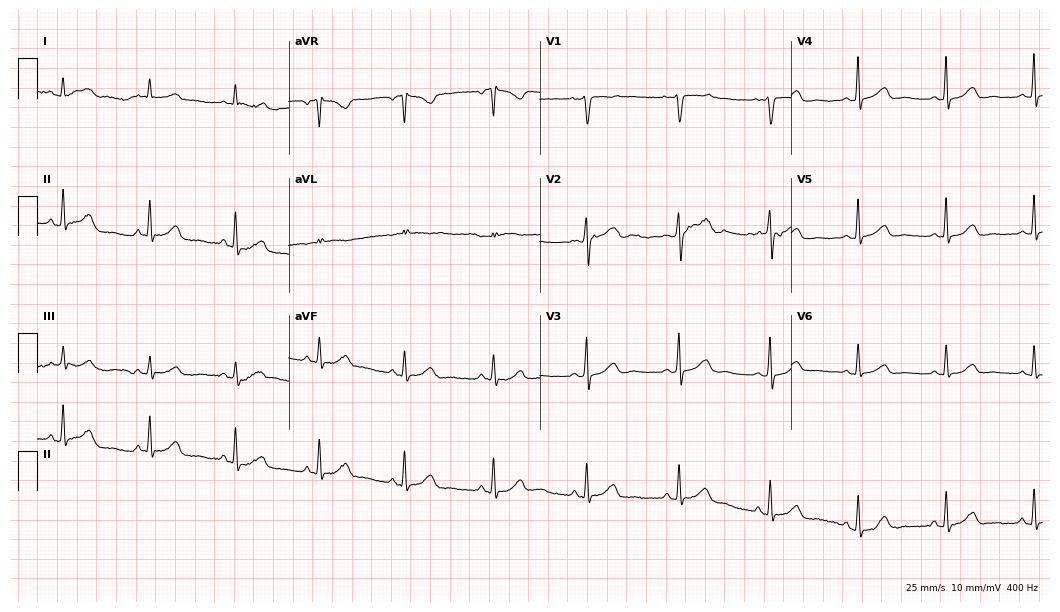
12-lead ECG from a 44-year-old woman (10.2-second recording at 400 Hz). Recorded interpretation: within normal limits.